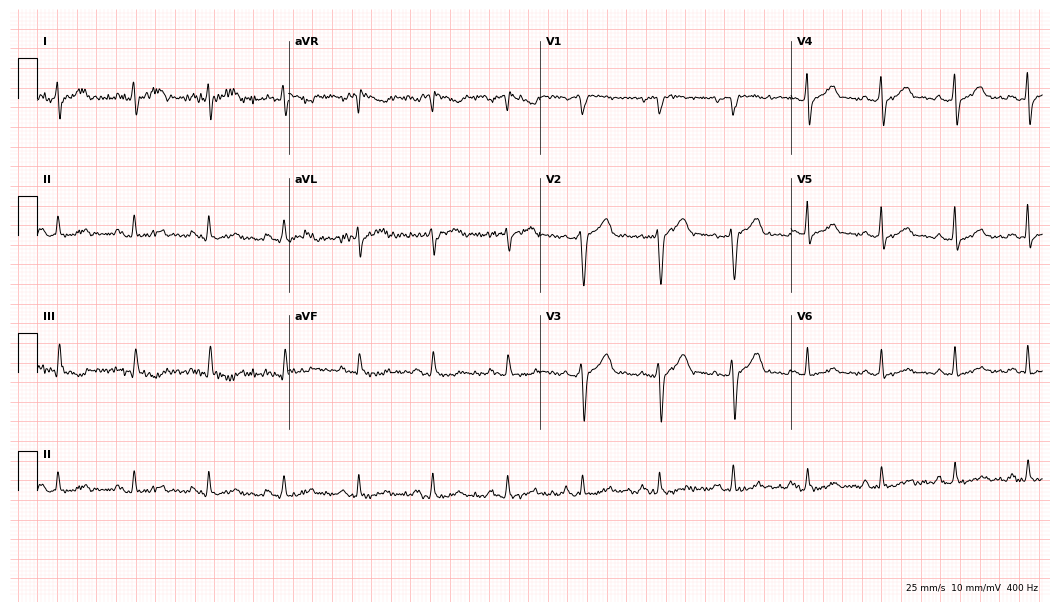
Electrocardiogram (10.2-second recording at 400 Hz), a male, 59 years old. Of the six screened findings (first-degree AV block, right bundle branch block, left bundle branch block, sinus bradycardia, atrial fibrillation, sinus tachycardia), none is recorded. Findings outside these six are not listed.